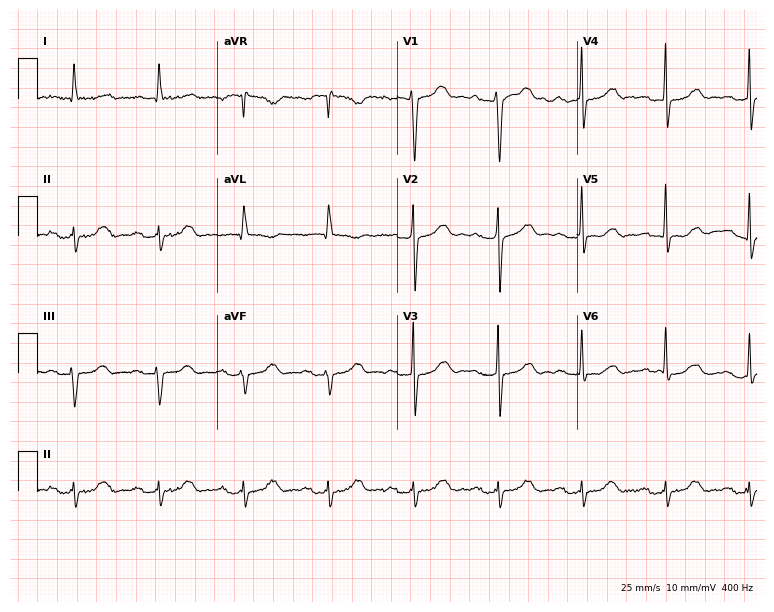
Standard 12-lead ECG recorded from a man, 82 years old (7.3-second recording at 400 Hz). The tracing shows first-degree AV block.